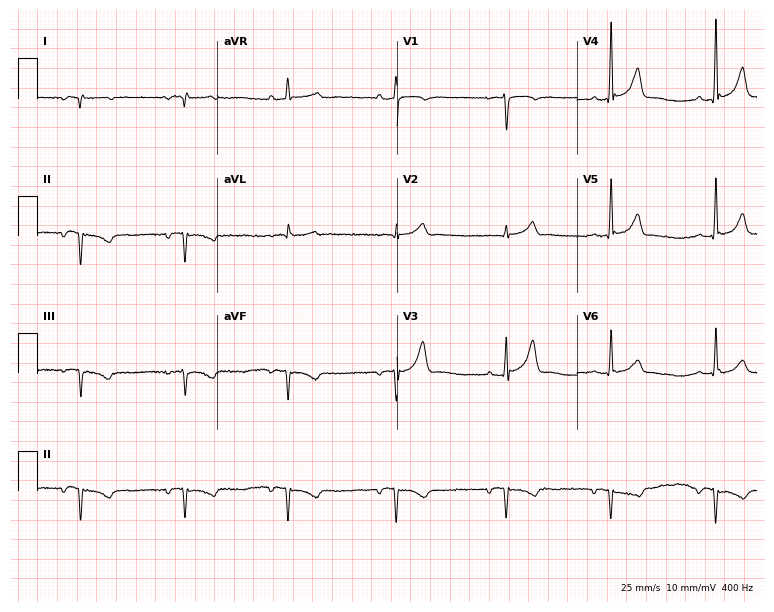
Electrocardiogram, a man, 72 years old. Of the six screened findings (first-degree AV block, right bundle branch block, left bundle branch block, sinus bradycardia, atrial fibrillation, sinus tachycardia), none is recorded. Findings outside these six are not listed.